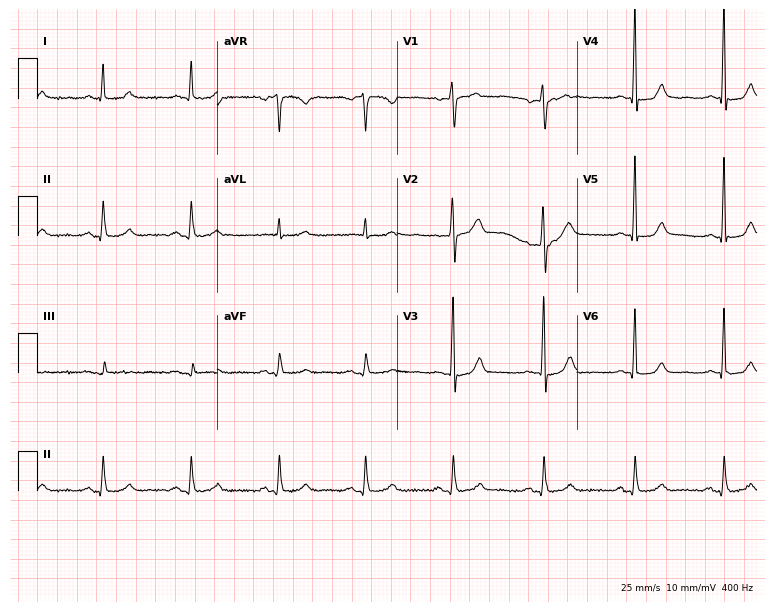
Standard 12-lead ECG recorded from a female, 49 years old. None of these six findings is recorded: first-degree AV block, right bundle branch block, left bundle branch block, sinus bradycardia, atrial fibrillation, sinus tachycardia.